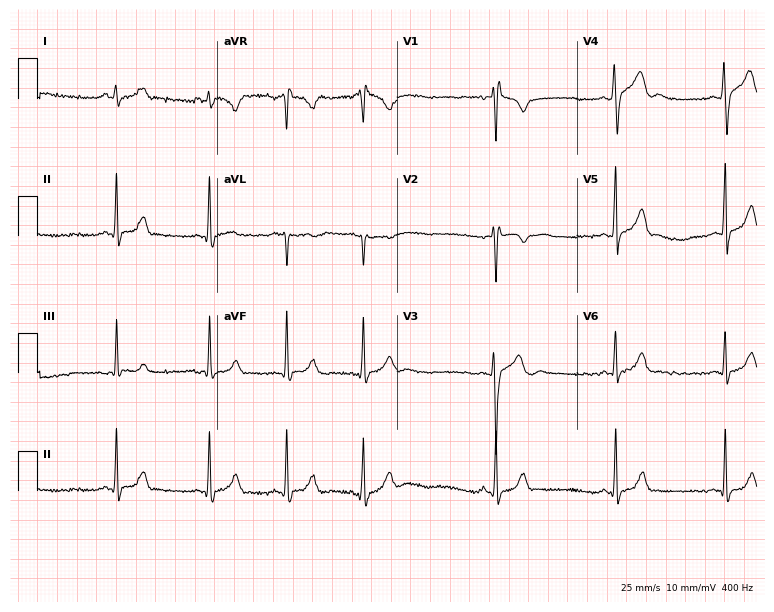
12-lead ECG from an 18-year-old male. No first-degree AV block, right bundle branch block, left bundle branch block, sinus bradycardia, atrial fibrillation or sinus tachycardia recorded for this tracing. Findings outside these six are not listed.